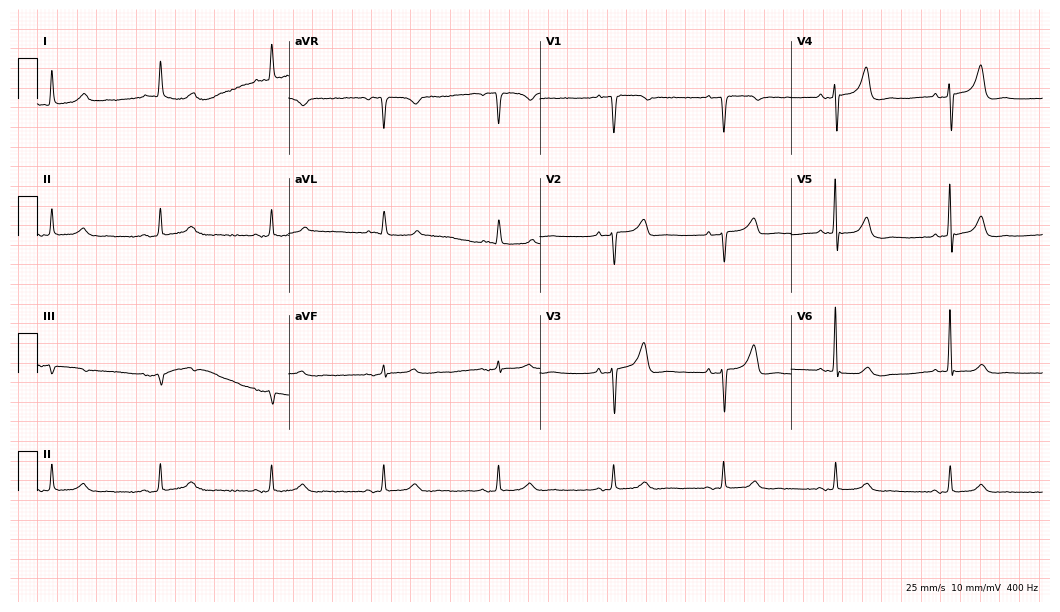
Resting 12-lead electrocardiogram. Patient: a female, 74 years old. Read as a normal ECG.